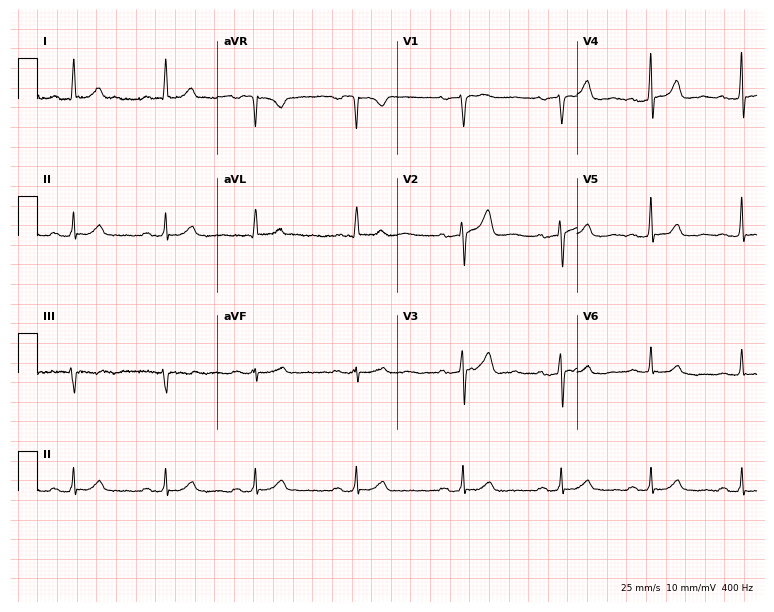
Electrocardiogram (7.3-second recording at 400 Hz), a woman, 66 years old. Interpretation includes first-degree AV block.